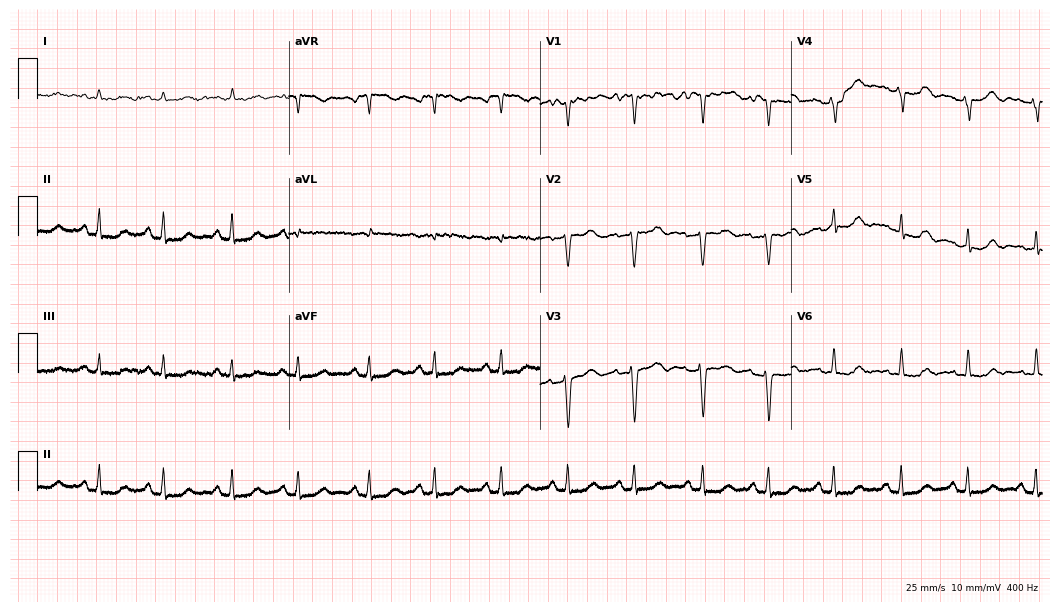
12-lead ECG from a female patient, 50 years old. Screened for six findings — first-degree AV block, right bundle branch block, left bundle branch block, sinus bradycardia, atrial fibrillation, sinus tachycardia — none is recorded. Only these six findings were labelled.